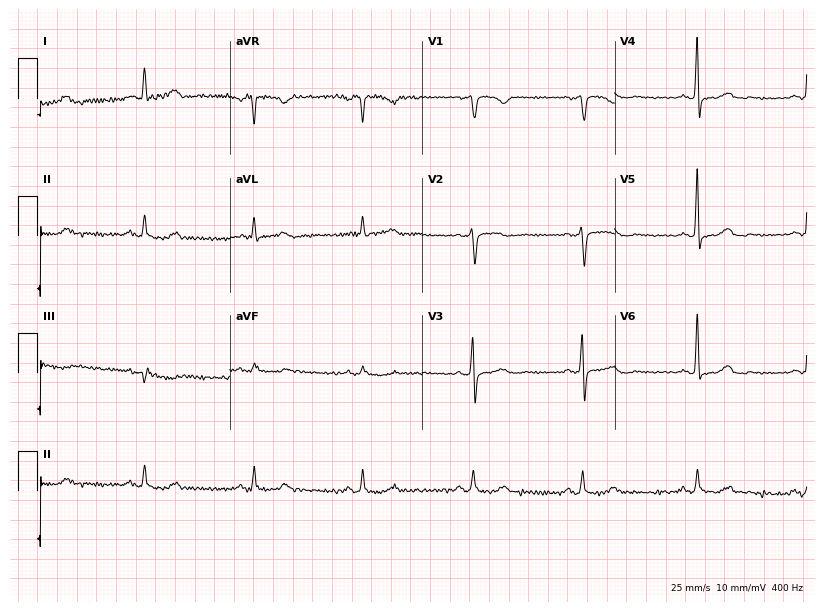
12-lead ECG from a 72-year-old female patient (7.8-second recording at 400 Hz). No first-degree AV block, right bundle branch block, left bundle branch block, sinus bradycardia, atrial fibrillation or sinus tachycardia recorded for this tracing. Findings outside these six are not listed.